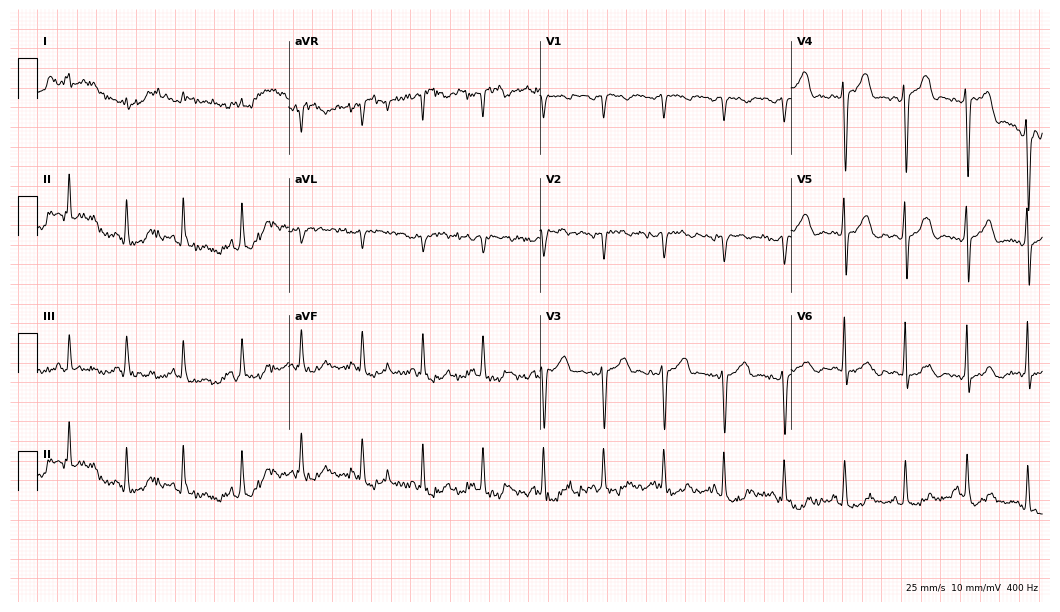
Electrocardiogram, a 49-year-old male. Of the six screened findings (first-degree AV block, right bundle branch block, left bundle branch block, sinus bradycardia, atrial fibrillation, sinus tachycardia), none is recorded. Only these six findings were labelled.